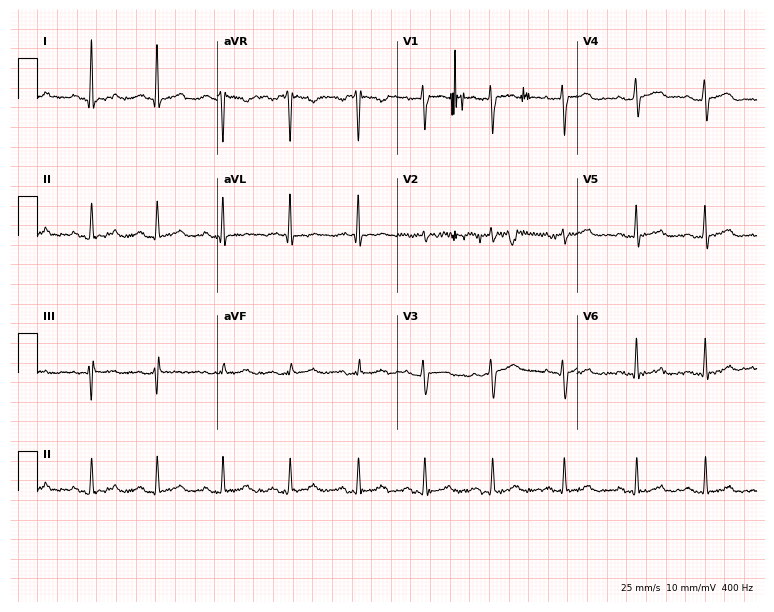
Electrocardiogram, a 35-year-old female patient. Overall reading on record: normal ECG.